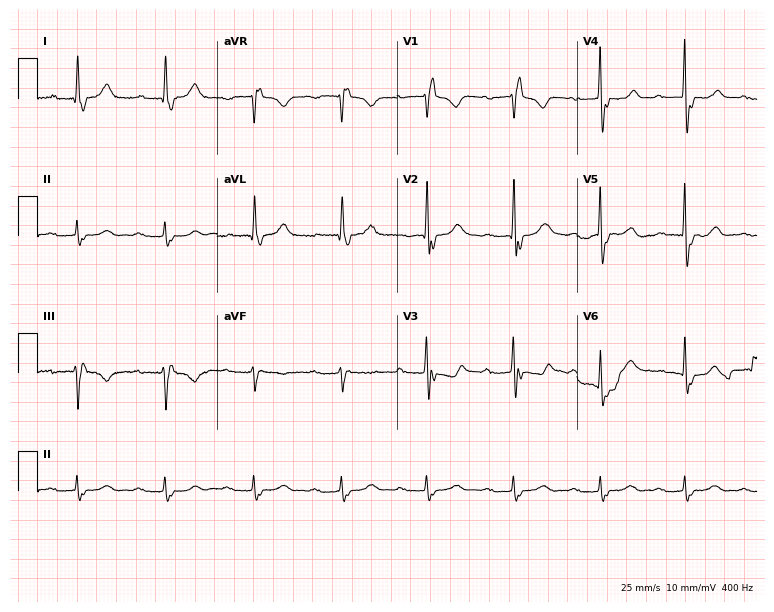
Electrocardiogram (7.3-second recording at 400 Hz), a male, 68 years old. Interpretation includes first-degree AV block, right bundle branch block.